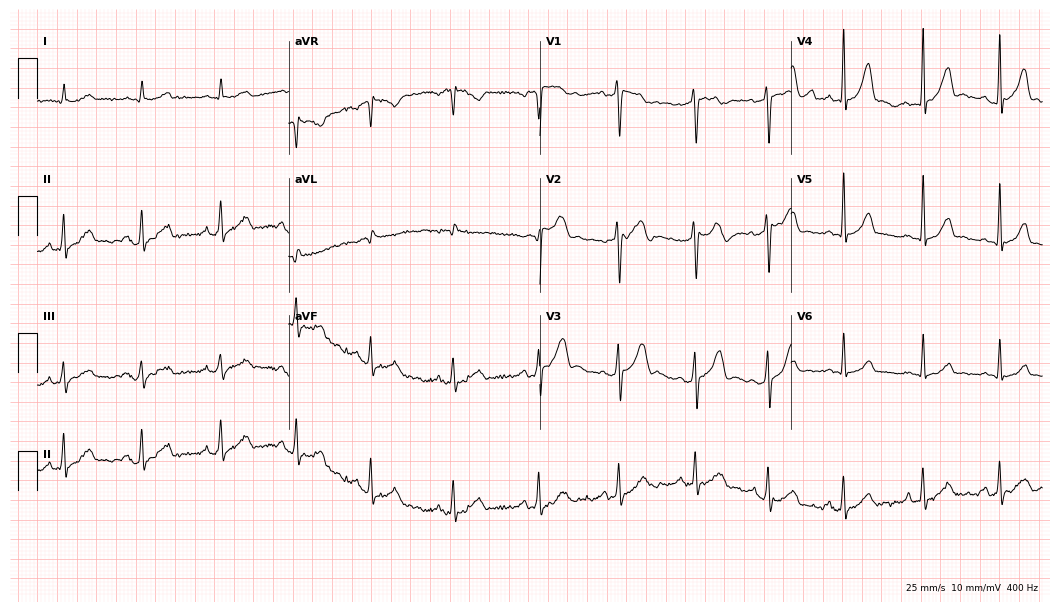
12-lead ECG from a male, 42 years old. Labelled as a normal ECG.